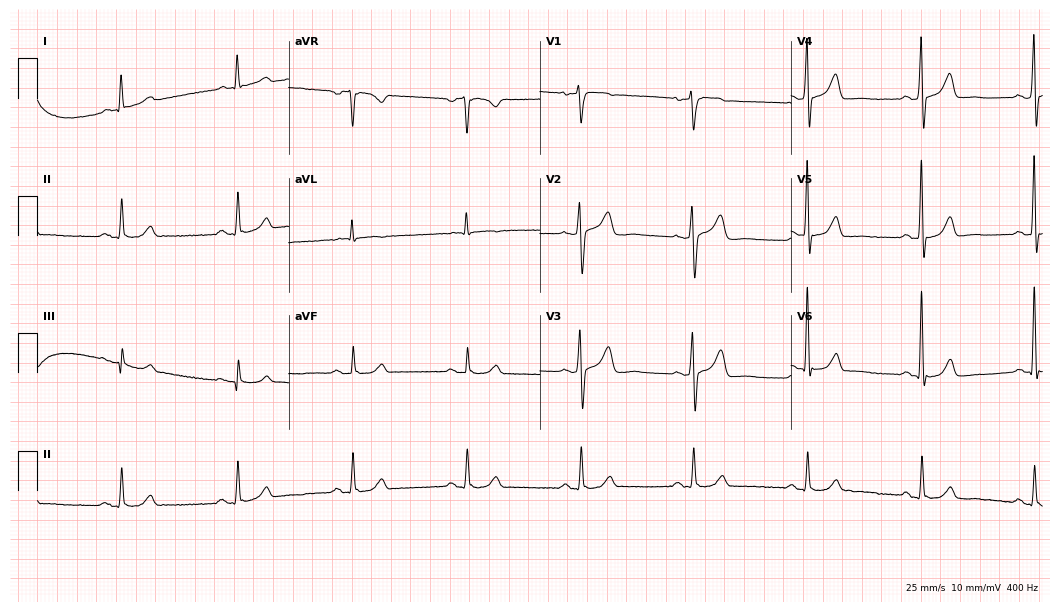
12-lead ECG from a 73-year-old male (10.2-second recording at 400 Hz). No first-degree AV block, right bundle branch block (RBBB), left bundle branch block (LBBB), sinus bradycardia, atrial fibrillation (AF) or sinus tachycardia recorded for this tracing. Findings outside these six are not listed.